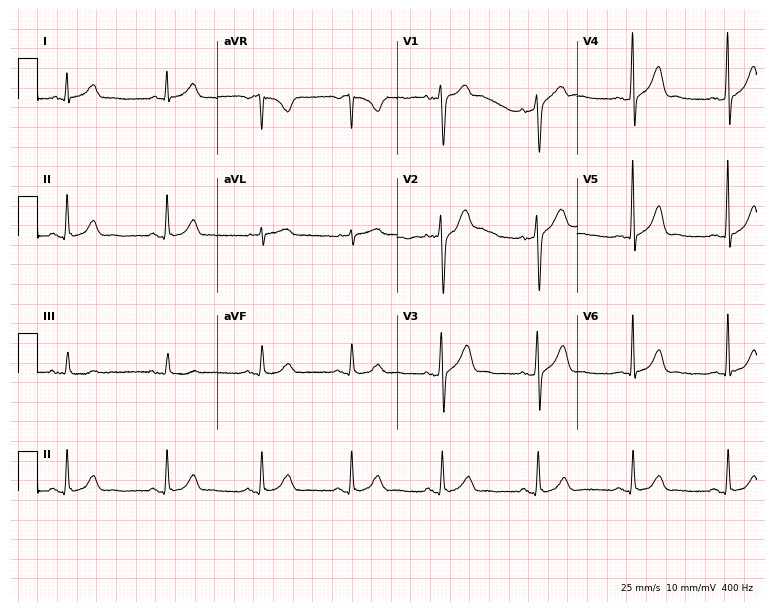
12-lead ECG from a male, 41 years old. Labelled as a normal ECG.